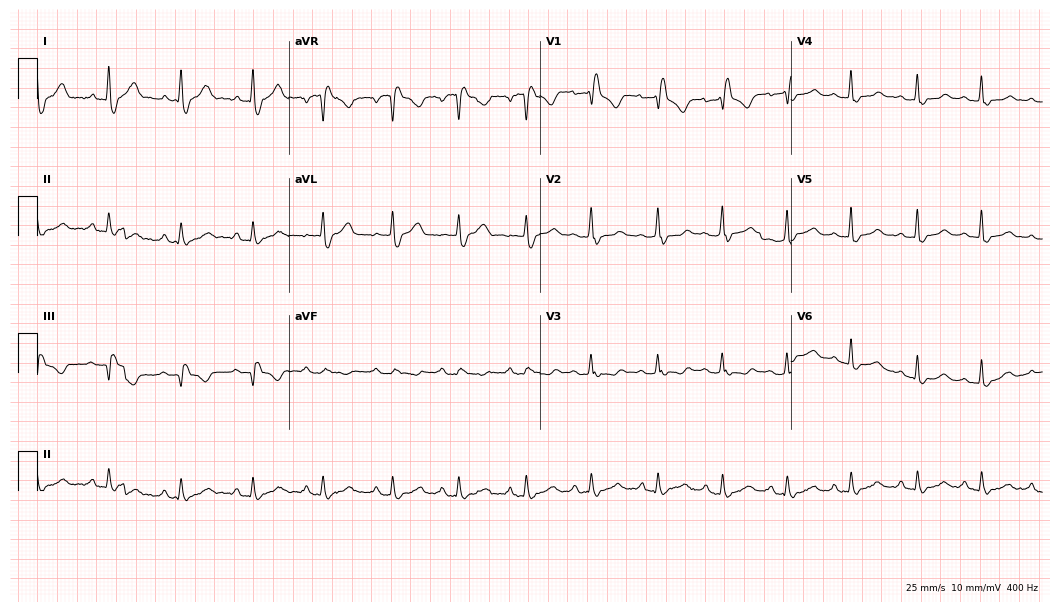
ECG — a female patient, 51 years old. Findings include right bundle branch block (RBBB).